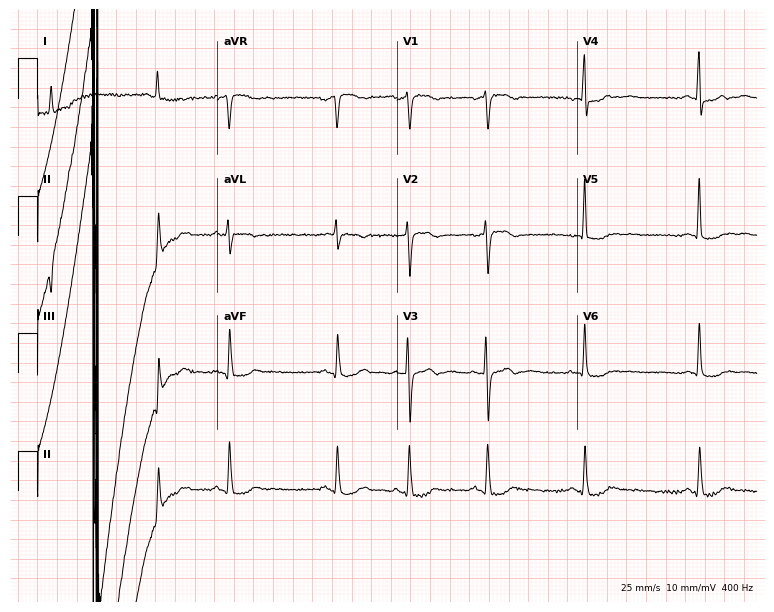
Electrocardiogram, a female, 81 years old. Of the six screened findings (first-degree AV block, right bundle branch block, left bundle branch block, sinus bradycardia, atrial fibrillation, sinus tachycardia), none is recorded. Only these six findings were labelled.